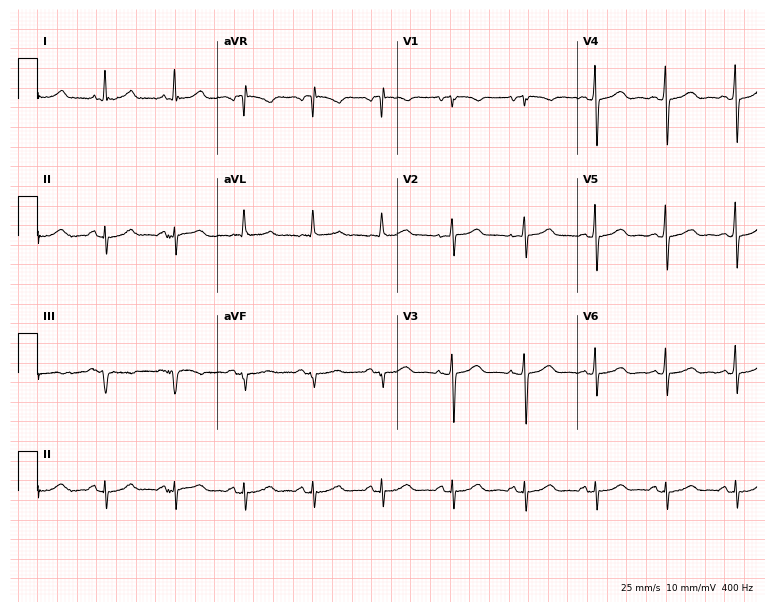
12-lead ECG from a 72-year-old female. No first-degree AV block, right bundle branch block, left bundle branch block, sinus bradycardia, atrial fibrillation or sinus tachycardia recorded for this tracing. Only these six findings were labelled.